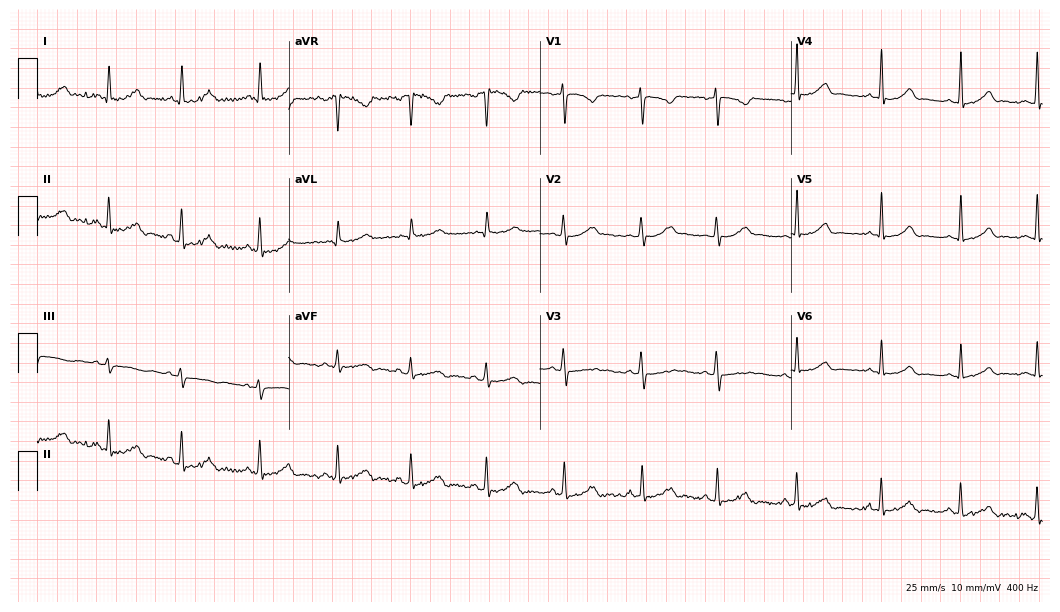
ECG — a woman, 27 years old. Labelled as a normal ECG.